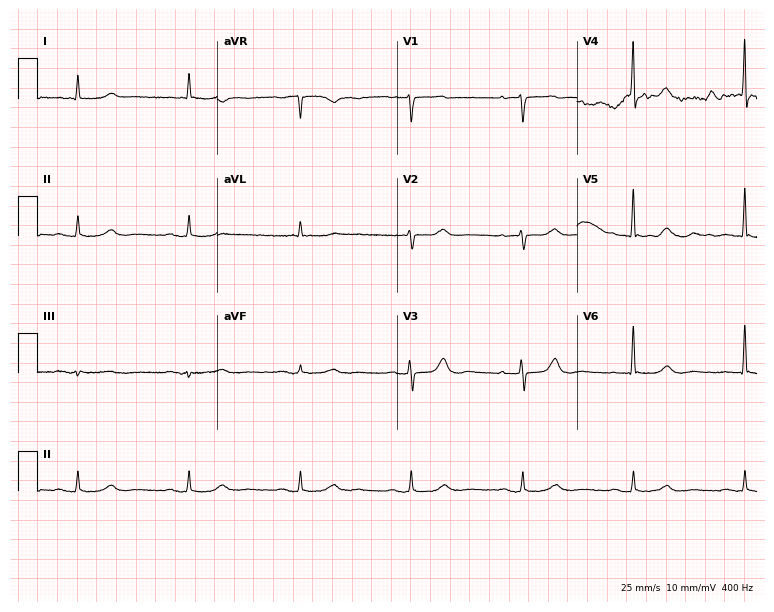
12-lead ECG from a woman, 75 years old (7.3-second recording at 400 Hz). No first-degree AV block, right bundle branch block, left bundle branch block, sinus bradycardia, atrial fibrillation or sinus tachycardia recorded for this tracing.